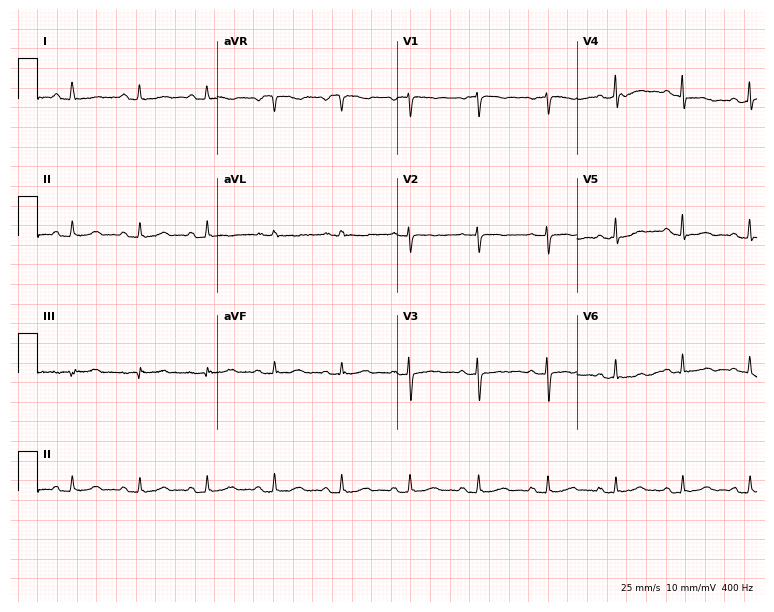
ECG — a 52-year-old female patient. Screened for six findings — first-degree AV block, right bundle branch block, left bundle branch block, sinus bradycardia, atrial fibrillation, sinus tachycardia — none is recorded. Only these six findings were labelled.